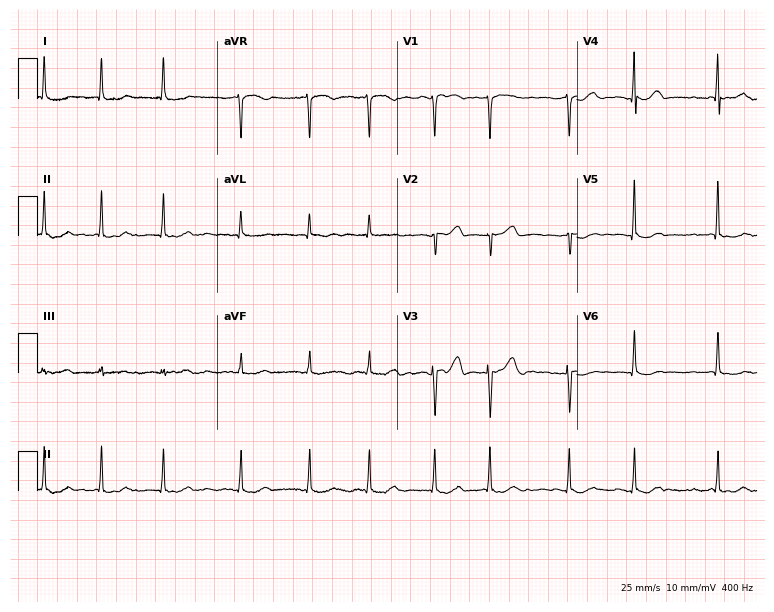
Resting 12-lead electrocardiogram (7.3-second recording at 400 Hz). Patient: a female, 77 years old. The tracing shows atrial fibrillation (AF).